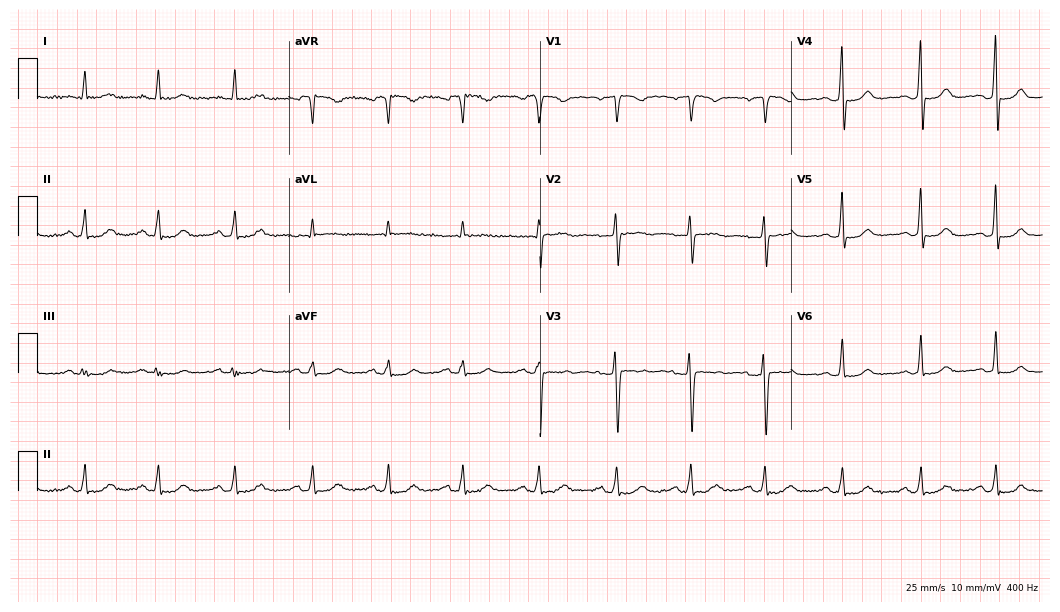
Resting 12-lead electrocardiogram. Patient: a woman, 47 years old. Read as a normal ECG.